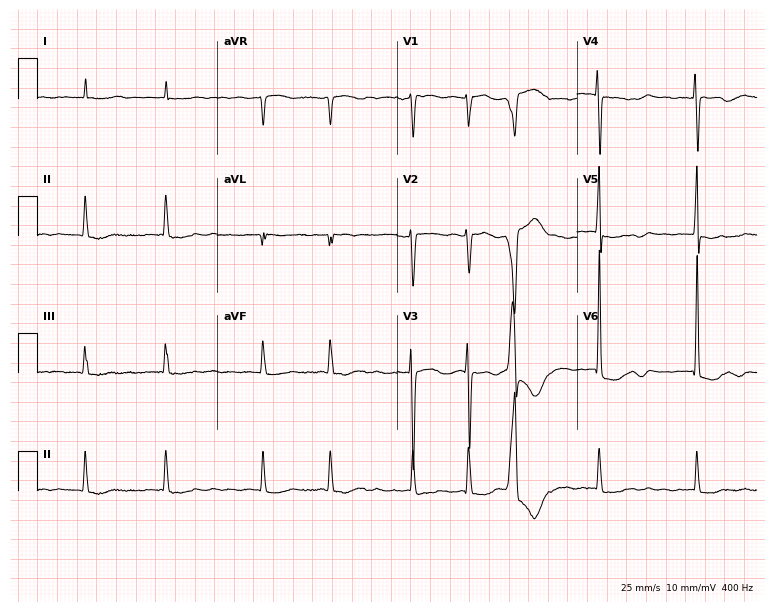
12-lead ECG from an 83-year-old woman. Findings include atrial fibrillation.